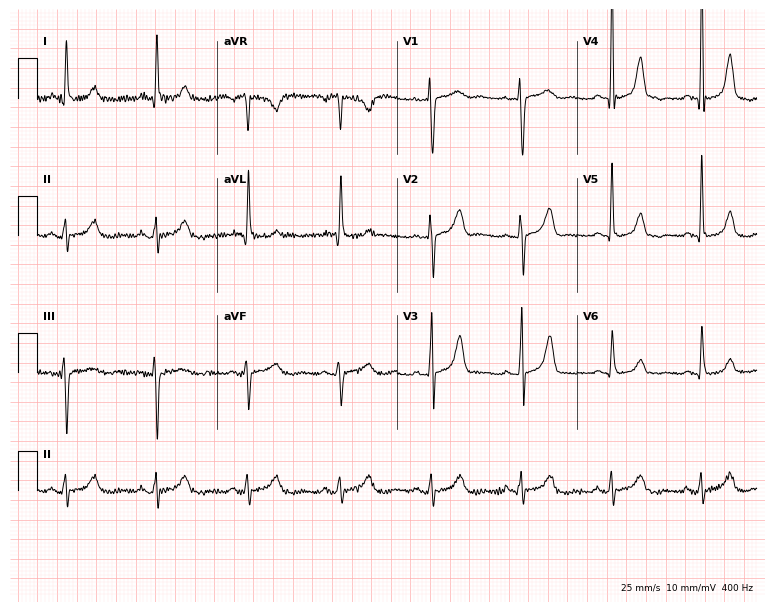
Electrocardiogram (7.3-second recording at 400 Hz), a female, 73 years old. Overall reading on record: normal ECG.